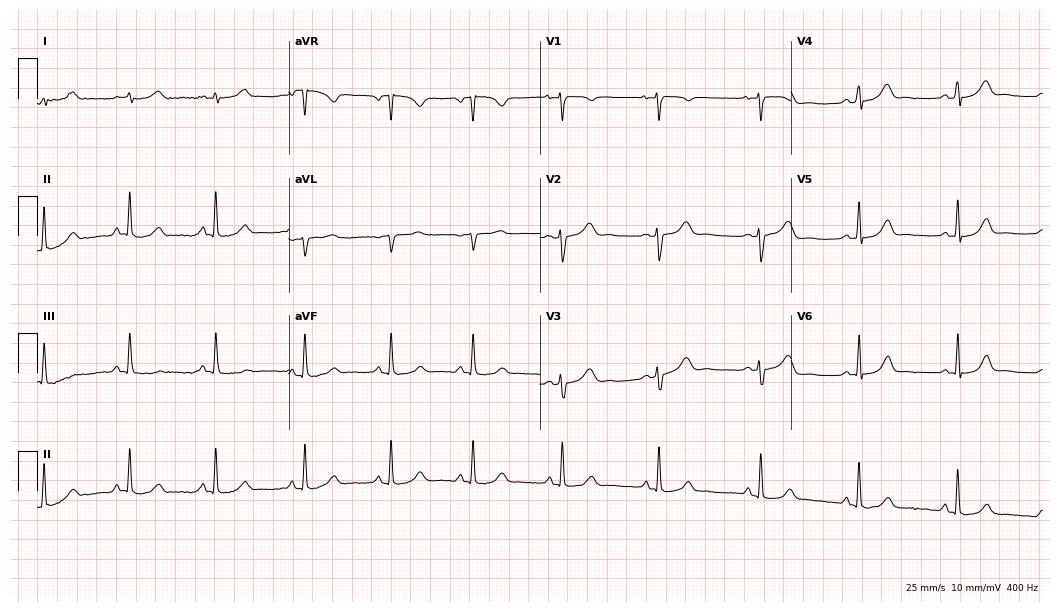
12-lead ECG from a 19-year-old female (10.2-second recording at 400 Hz). Recorded interpretation: within normal limits.